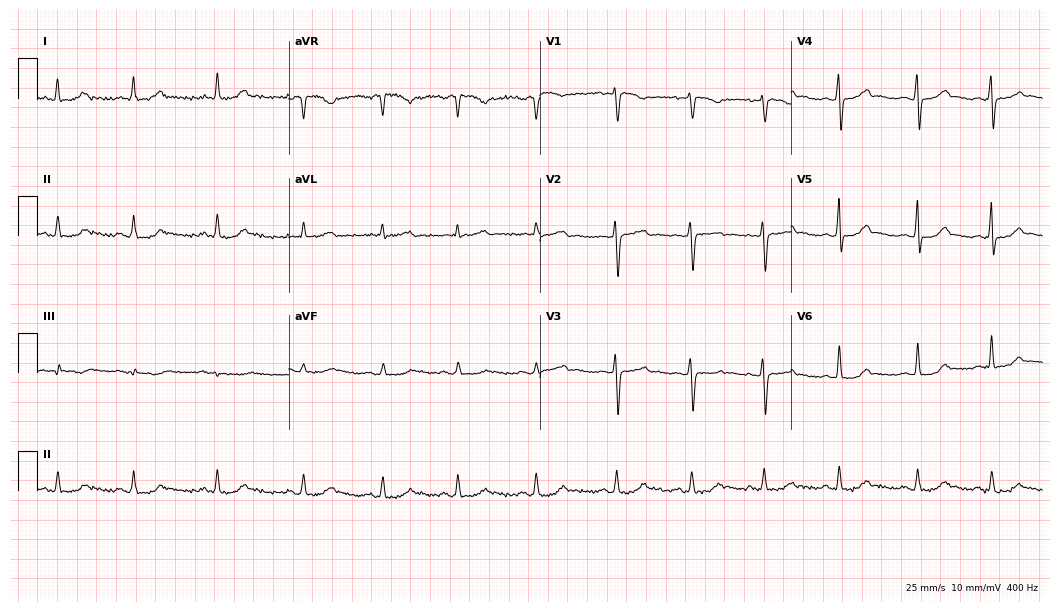
ECG (10.2-second recording at 400 Hz) — a 51-year-old woman. Screened for six findings — first-degree AV block, right bundle branch block, left bundle branch block, sinus bradycardia, atrial fibrillation, sinus tachycardia — none is recorded.